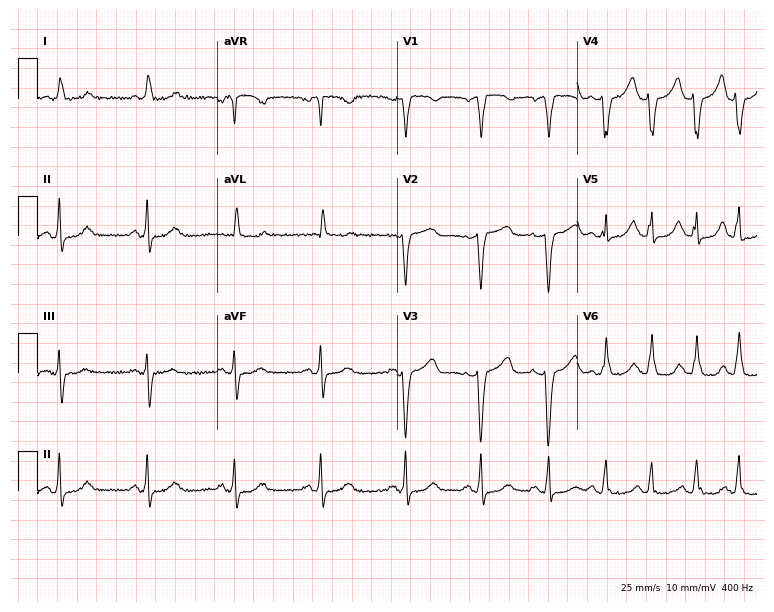
Standard 12-lead ECG recorded from a 65-year-old female (7.3-second recording at 400 Hz). None of these six findings is recorded: first-degree AV block, right bundle branch block (RBBB), left bundle branch block (LBBB), sinus bradycardia, atrial fibrillation (AF), sinus tachycardia.